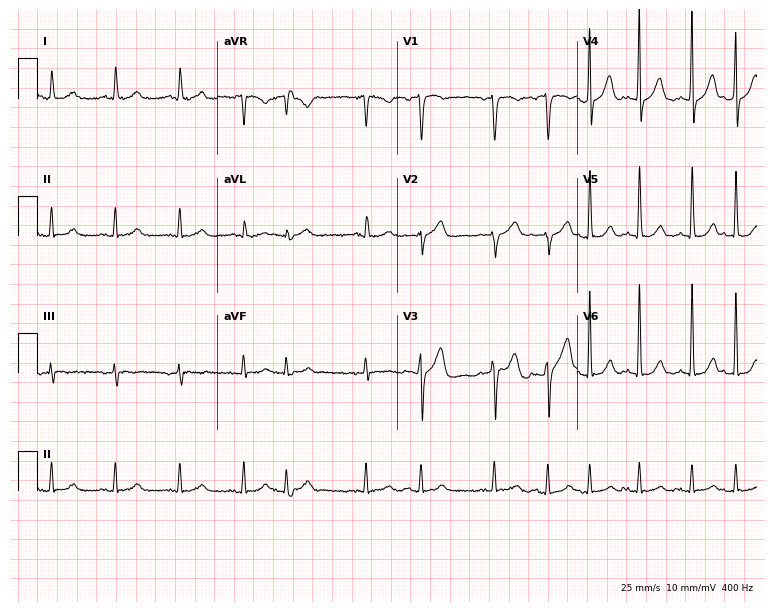
Resting 12-lead electrocardiogram (7.3-second recording at 400 Hz). Patient: a male, 68 years old. The tracing shows sinus tachycardia (a sinus rate of 100 beats per minute or more).